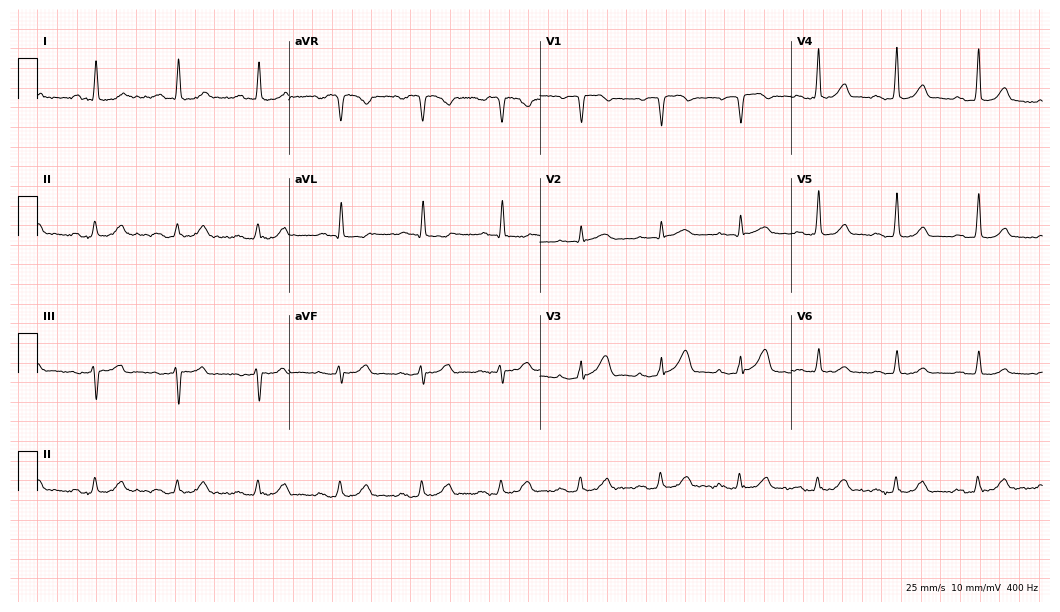
ECG — an 83-year-old male patient. Labelled as a normal ECG.